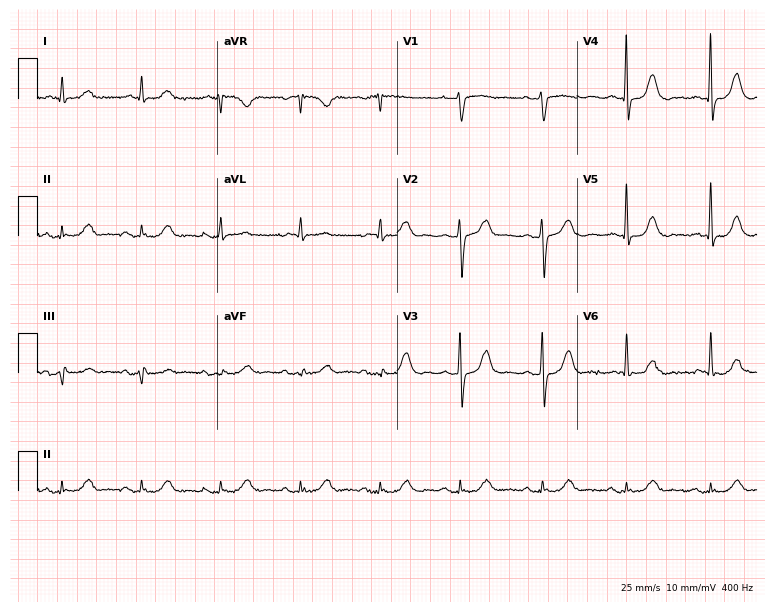
Resting 12-lead electrocardiogram. Patient: a 73-year-old male. Read as a normal ECG.